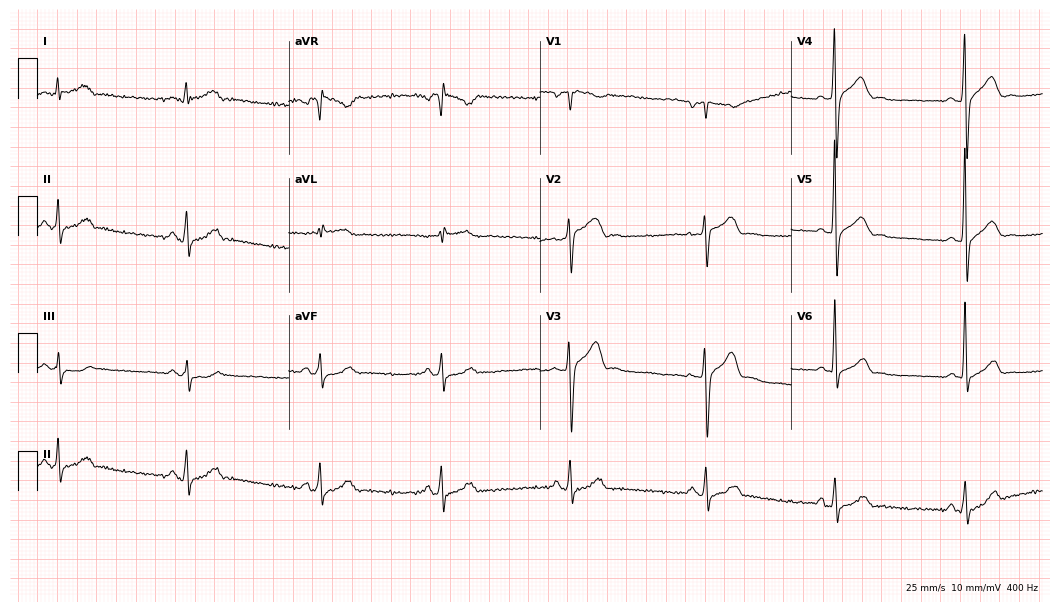
ECG (10.2-second recording at 400 Hz) — a 26-year-old male. Screened for six findings — first-degree AV block, right bundle branch block, left bundle branch block, sinus bradycardia, atrial fibrillation, sinus tachycardia — none is recorded.